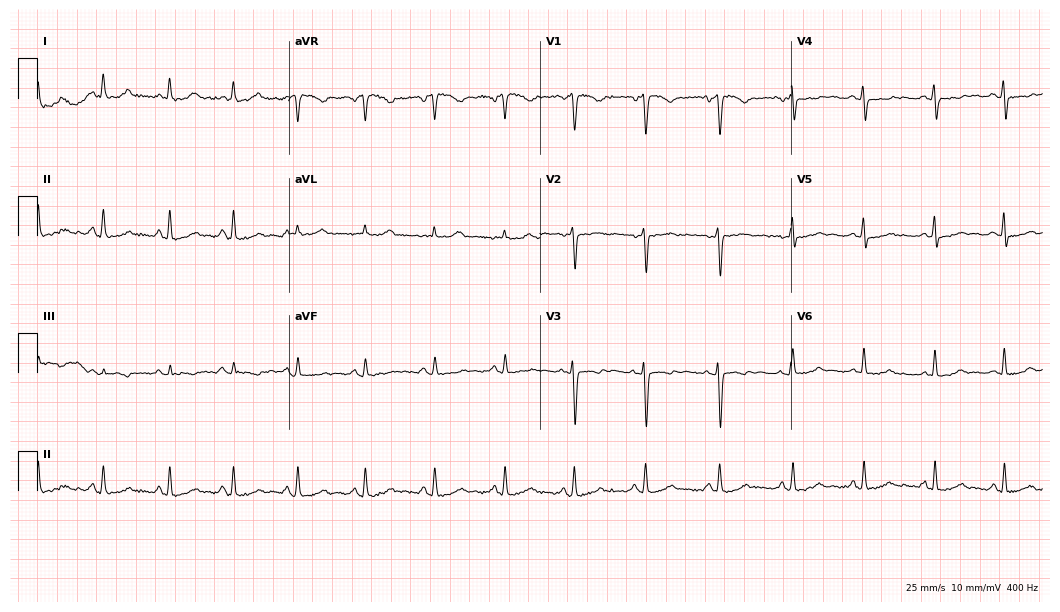
12-lead ECG from a 20-year-old female patient. No first-degree AV block, right bundle branch block, left bundle branch block, sinus bradycardia, atrial fibrillation or sinus tachycardia recorded for this tracing. Other findings, if any, are not listed.